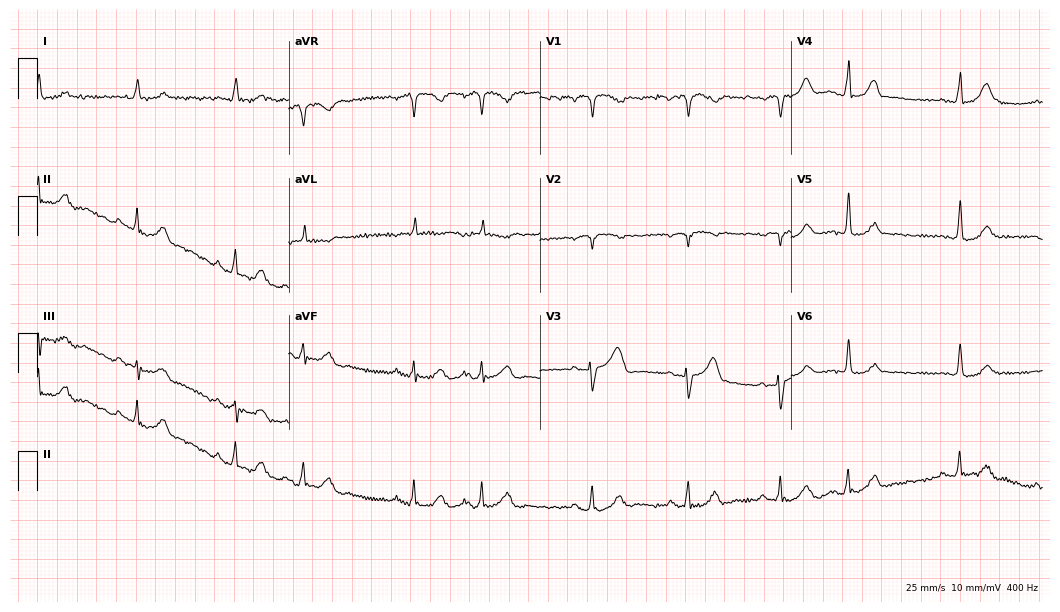
Resting 12-lead electrocardiogram (10.2-second recording at 400 Hz). Patient: a male, 83 years old. None of these six findings is recorded: first-degree AV block, right bundle branch block (RBBB), left bundle branch block (LBBB), sinus bradycardia, atrial fibrillation (AF), sinus tachycardia. Findings outside these six are not listed.